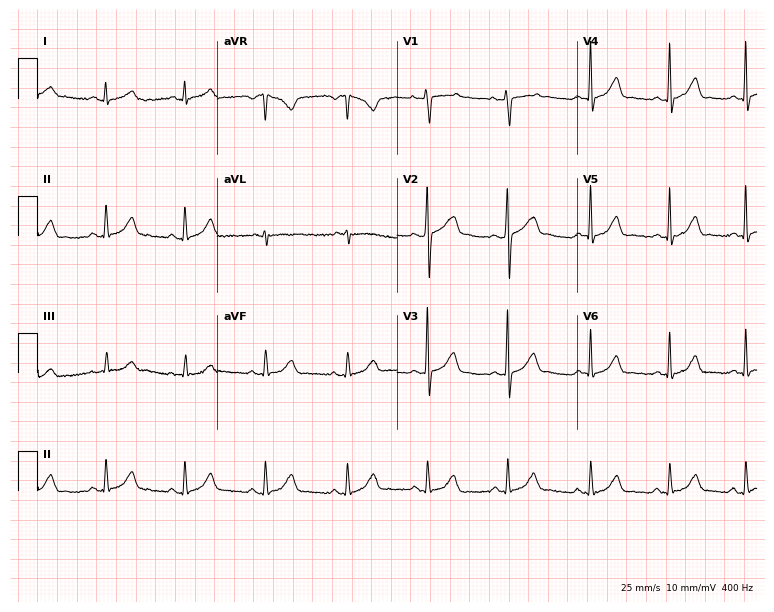
12-lead ECG from a man, 25 years old. Recorded interpretation: within normal limits.